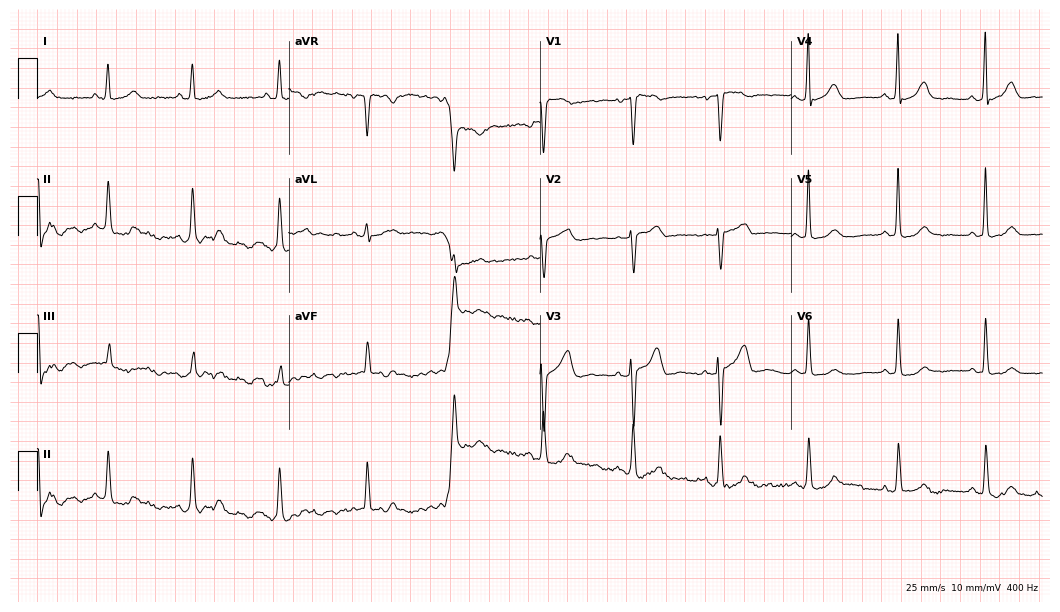
12-lead ECG (10.2-second recording at 400 Hz) from a 56-year-old woman. Screened for six findings — first-degree AV block, right bundle branch block, left bundle branch block, sinus bradycardia, atrial fibrillation, sinus tachycardia — none is recorded.